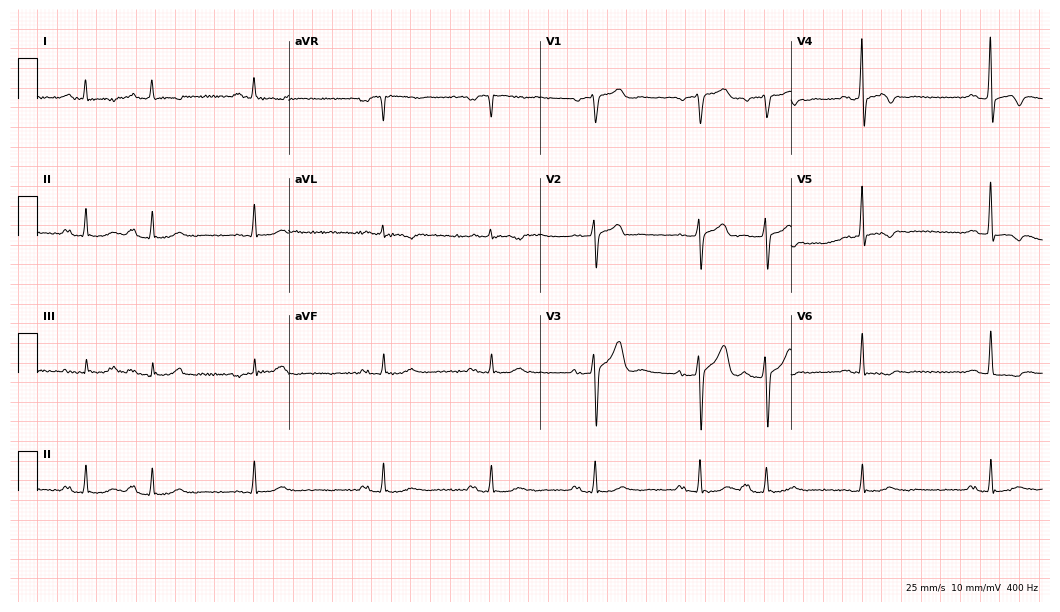
Electrocardiogram, a 78-year-old male patient. Of the six screened findings (first-degree AV block, right bundle branch block, left bundle branch block, sinus bradycardia, atrial fibrillation, sinus tachycardia), none is recorded. Only these six findings were labelled.